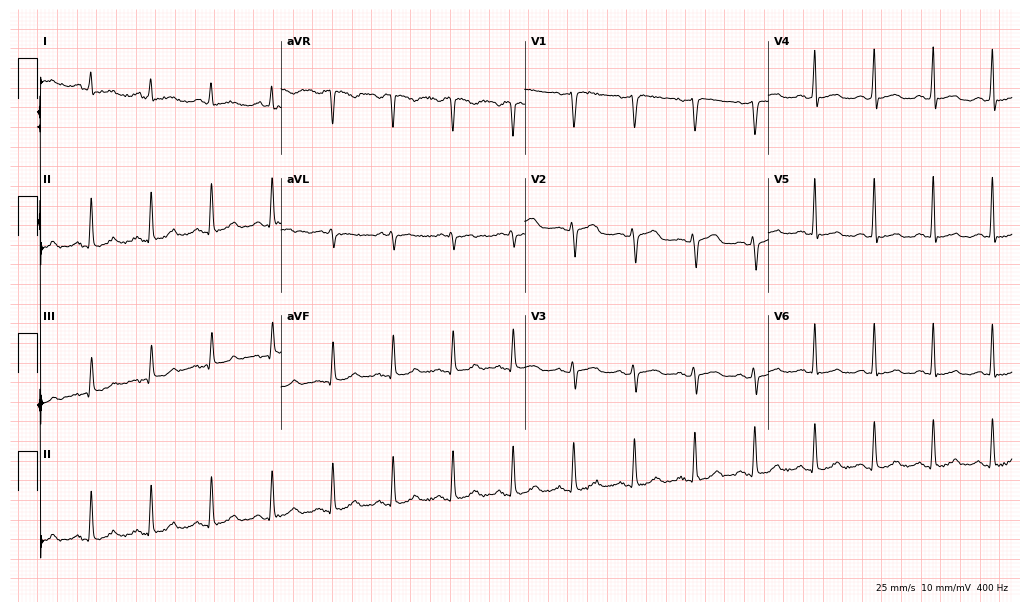
ECG (9.9-second recording at 400 Hz) — a female patient, 52 years old. Labelled as a normal ECG.